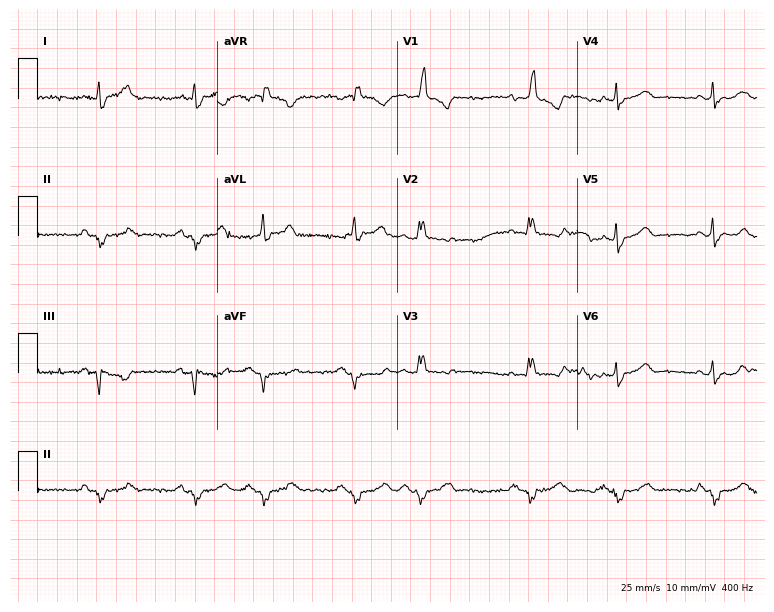
12-lead ECG from a 78-year-old female (7.3-second recording at 400 Hz). Shows right bundle branch block (RBBB).